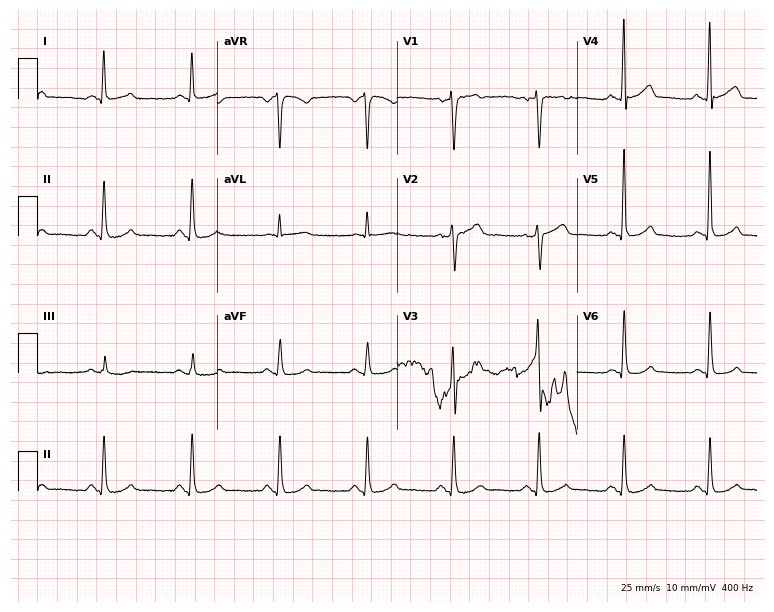
12-lead ECG from a 43-year-old male patient. Labelled as a normal ECG.